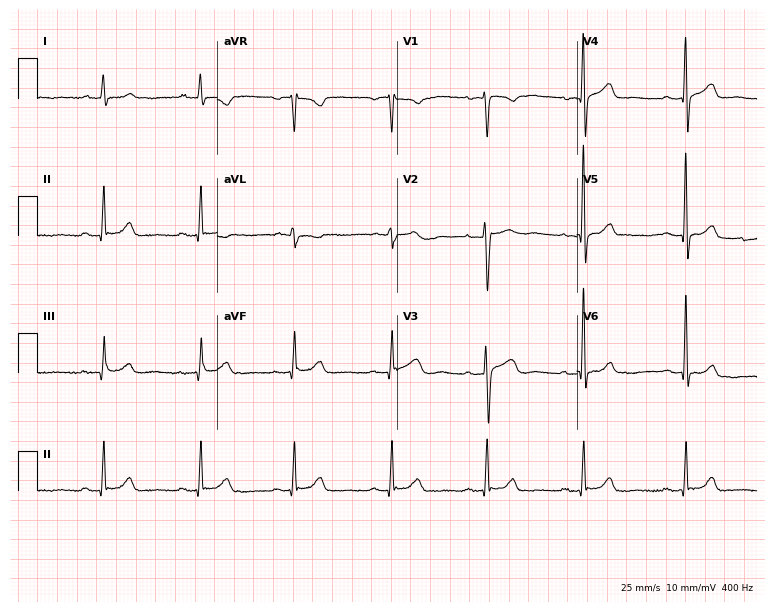
Standard 12-lead ECG recorded from a 52-year-old woman (7.3-second recording at 400 Hz). Read as a normal ECG.